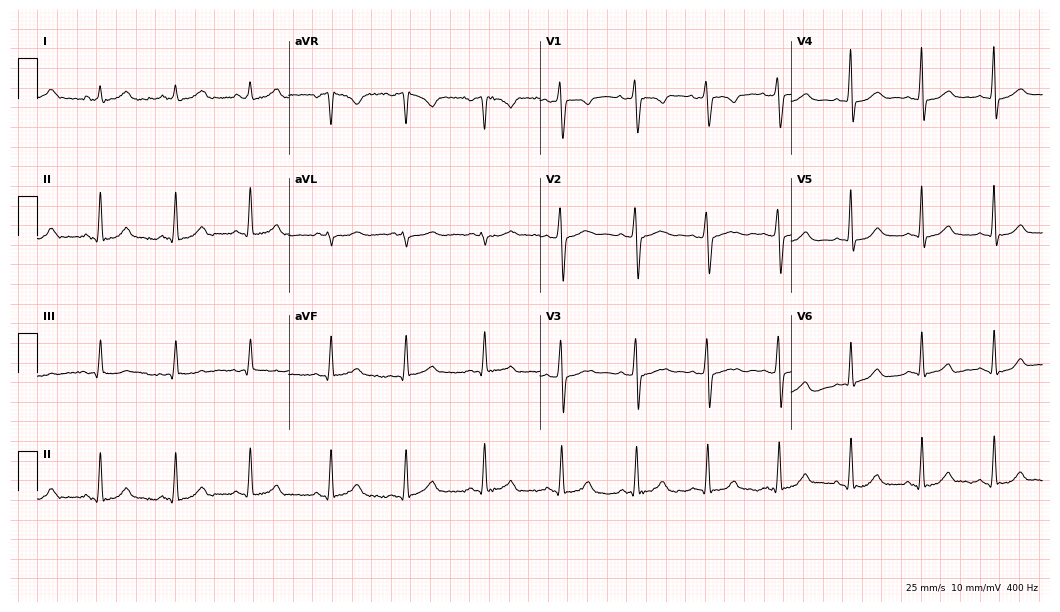
Electrocardiogram, a woman, 28 years old. Of the six screened findings (first-degree AV block, right bundle branch block (RBBB), left bundle branch block (LBBB), sinus bradycardia, atrial fibrillation (AF), sinus tachycardia), none is recorded.